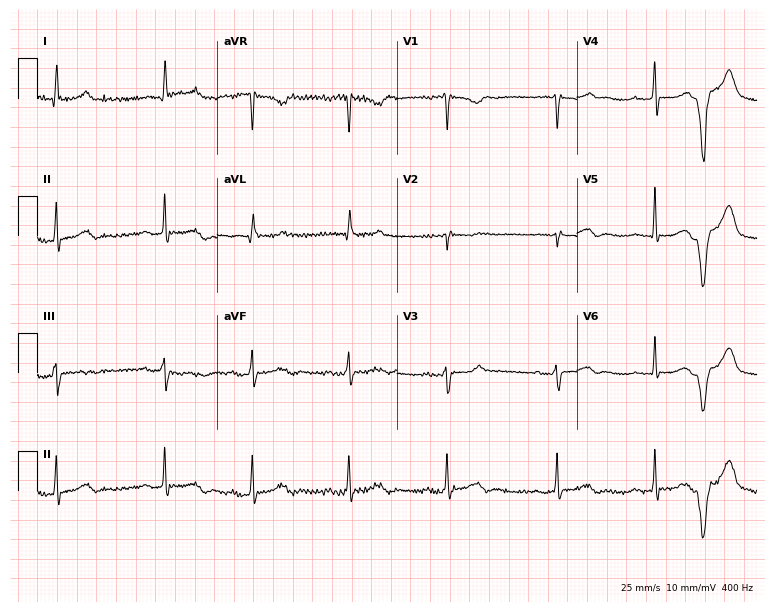
Electrocardiogram, a female patient, 66 years old. Of the six screened findings (first-degree AV block, right bundle branch block, left bundle branch block, sinus bradycardia, atrial fibrillation, sinus tachycardia), none is recorded.